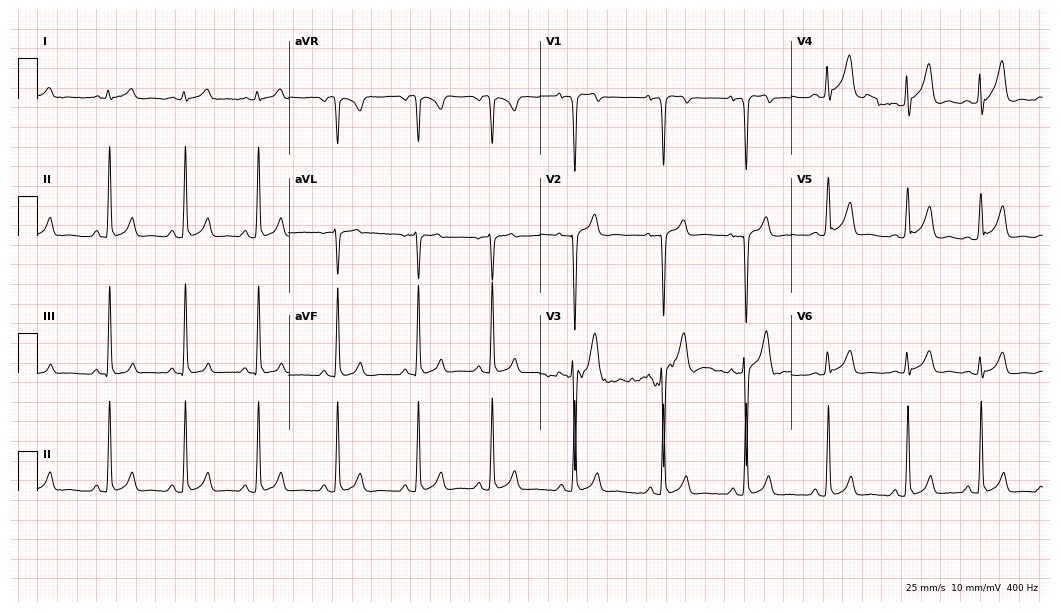
ECG (10.2-second recording at 400 Hz) — a 26-year-old male patient. Screened for six findings — first-degree AV block, right bundle branch block, left bundle branch block, sinus bradycardia, atrial fibrillation, sinus tachycardia — none is recorded. Findings outside these six are not listed.